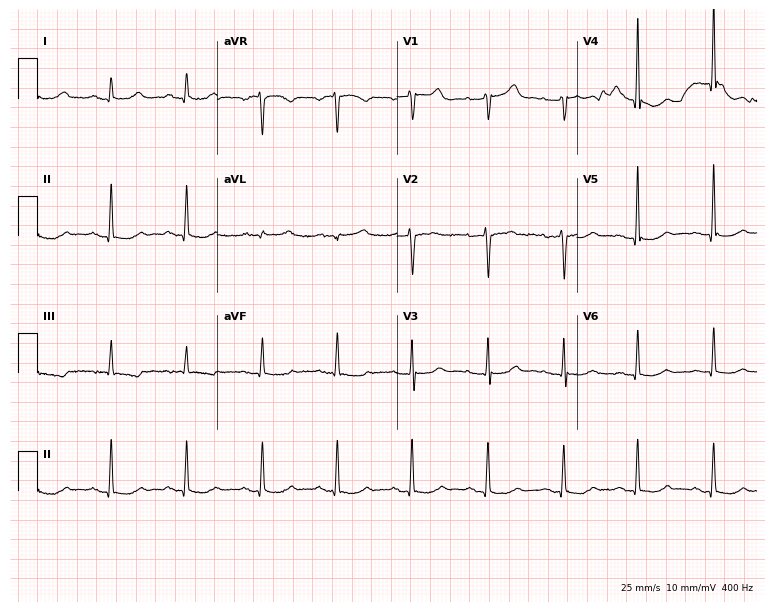
12-lead ECG (7.3-second recording at 400 Hz) from a female patient, 71 years old. Screened for six findings — first-degree AV block, right bundle branch block, left bundle branch block, sinus bradycardia, atrial fibrillation, sinus tachycardia — none is recorded.